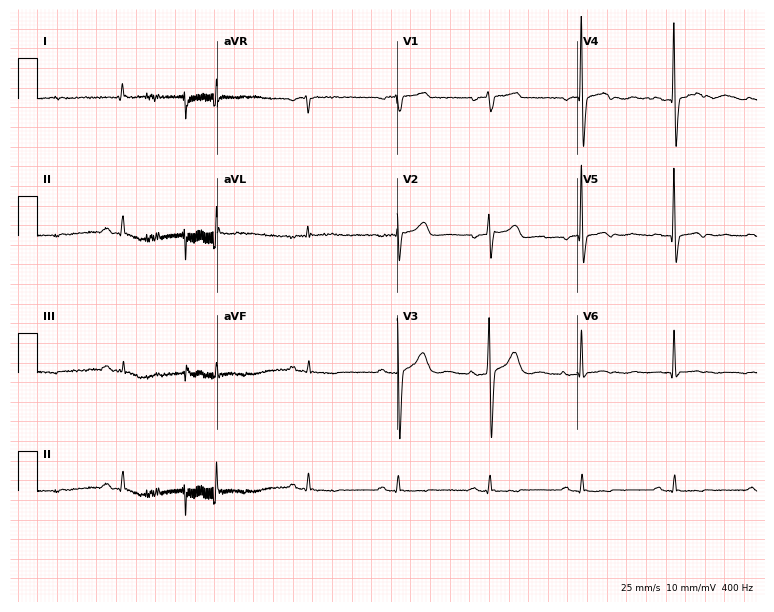
Standard 12-lead ECG recorded from a male, 68 years old. None of these six findings is recorded: first-degree AV block, right bundle branch block, left bundle branch block, sinus bradycardia, atrial fibrillation, sinus tachycardia. Only these six findings were labelled.